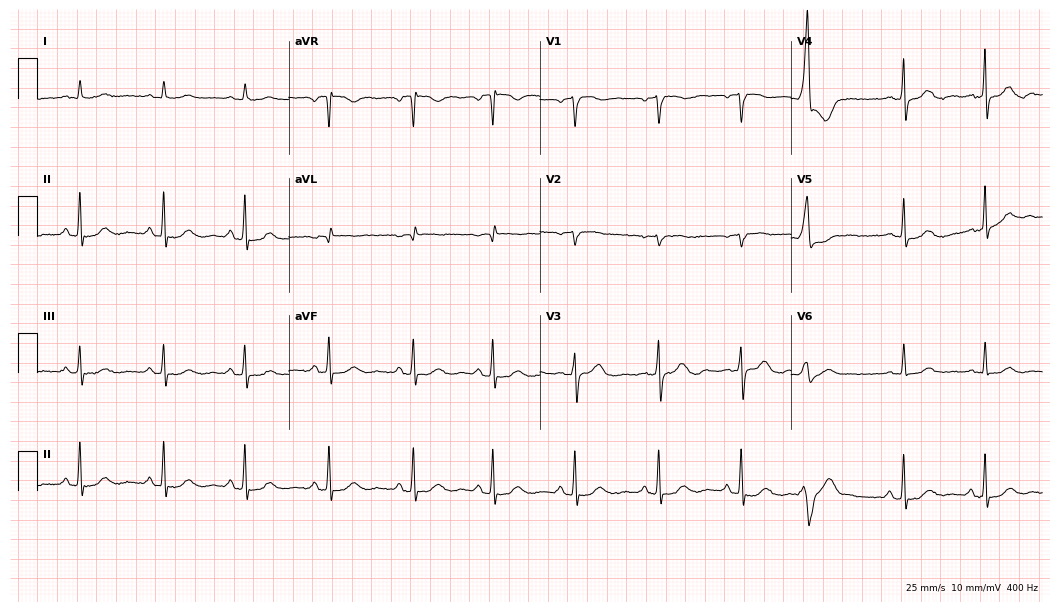
ECG (10.2-second recording at 400 Hz) — a 73-year-old male. Screened for six findings — first-degree AV block, right bundle branch block, left bundle branch block, sinus bradycardia, atrial fibrillation, sinus tachycardia — none is recorded. Other findings, if any, are not listed.